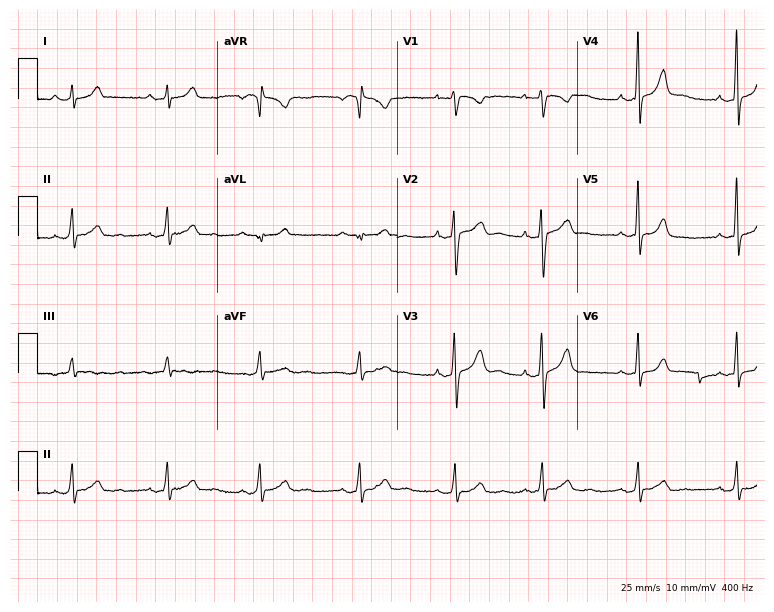
Standard 12-lead ECG recorded from a woman, 30 years old. None of these six findings is recorded: first-degree AV block, right bundle branch block, left bundle branch block, sinus bradycardia, atrial fibrillation, sinus tachycardia.